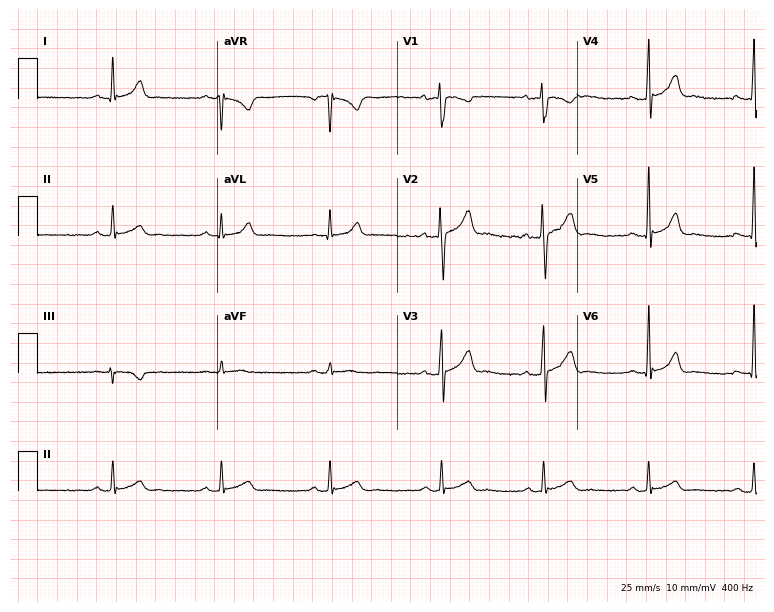
ECG — a male, 25 years old. Labelled as a normal ECG.